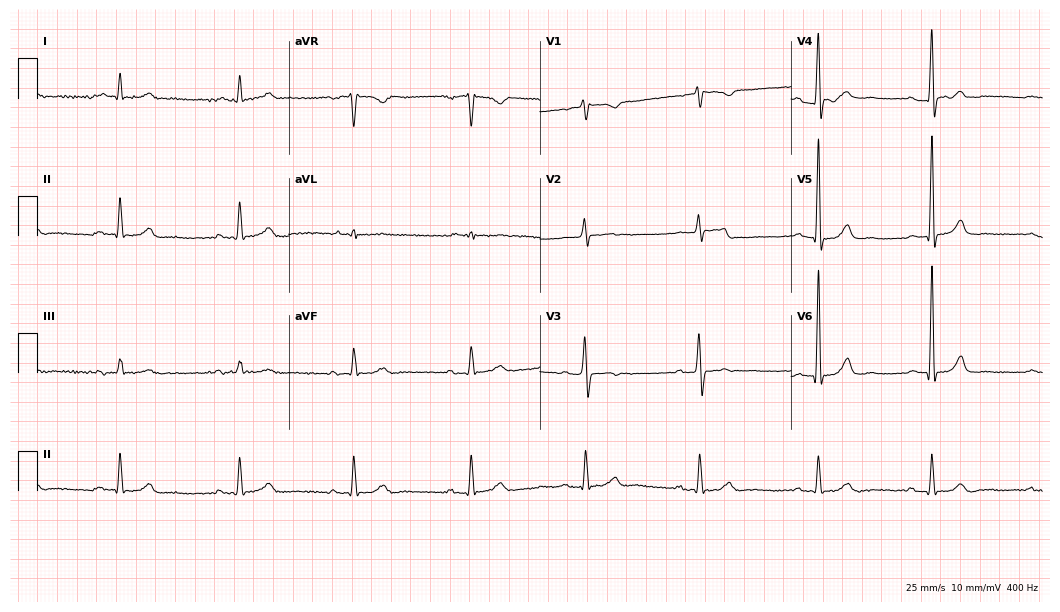
12-lead ECG from a male, 83 years old. Shows sinus bradycardia (a sinus rate of 50 beats per minute or less).